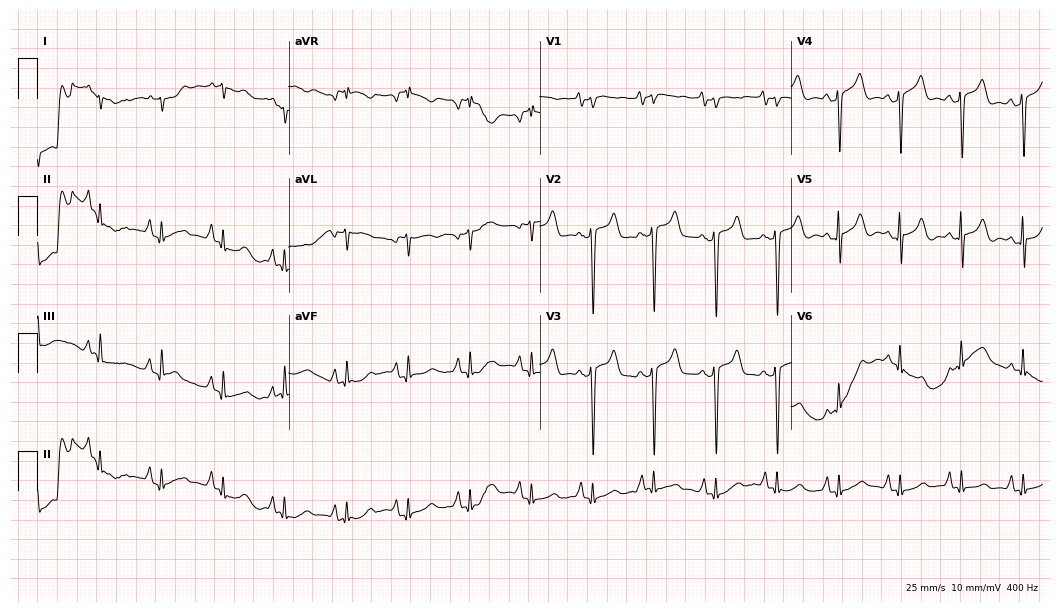
12-lead ECG from a female patient, 78 years old. Screened for six findings — first-degree AV block, right bundle branch block, left bundle branch block, sinus bradycardia, atrial fibrillation, sinus tachycardia — none is recorded.